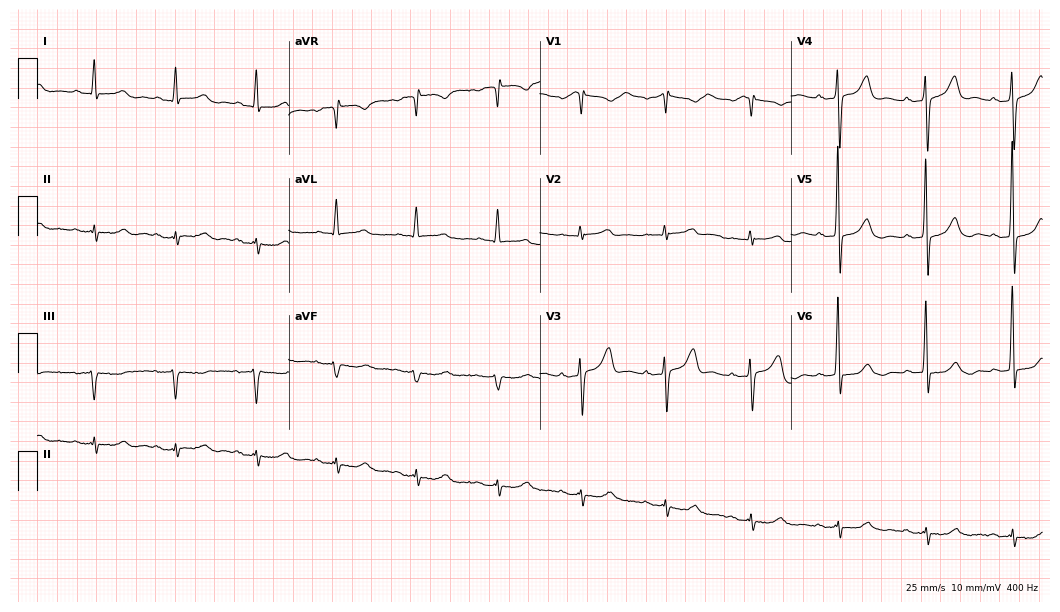
Resting 12-lead electrocardiogram (10.2-second recording at 400 Hz). Patient: a 63-year-old male. Read as a normal ECG.